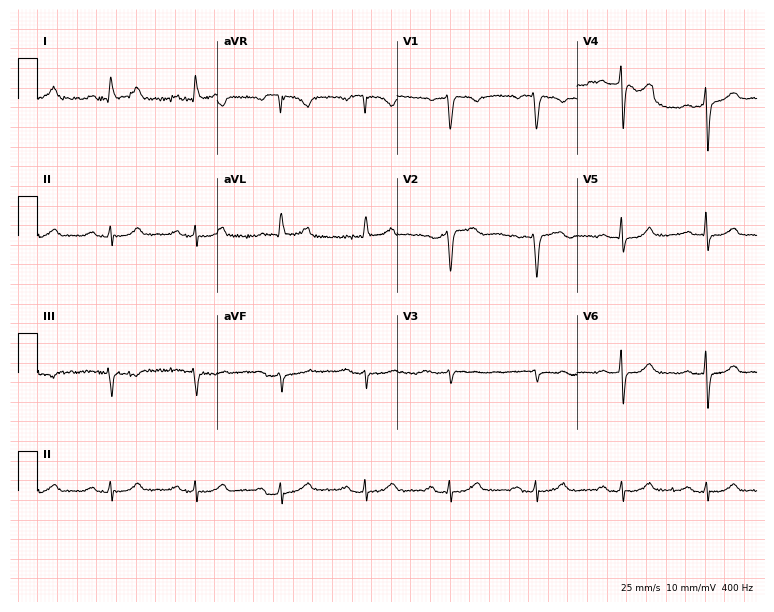
12-lead ECG from a female, 69 years old. Screened for six findings — first-degree AV block, right bundle branch block, left bundle branch block, sinus bradycardia, atrial fibrillation, sinus tachycardia — none is recorded. Other findings, if any, are not listed.